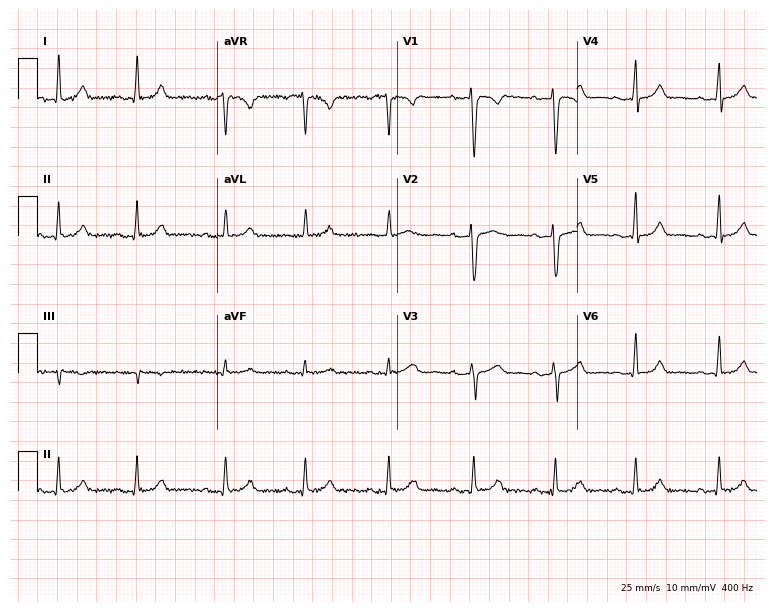
Resting 12-lead electrocardiogram (7.3-second recording at 400 Hz). Patient: a 33-year-old female. Read as a normal ECG.